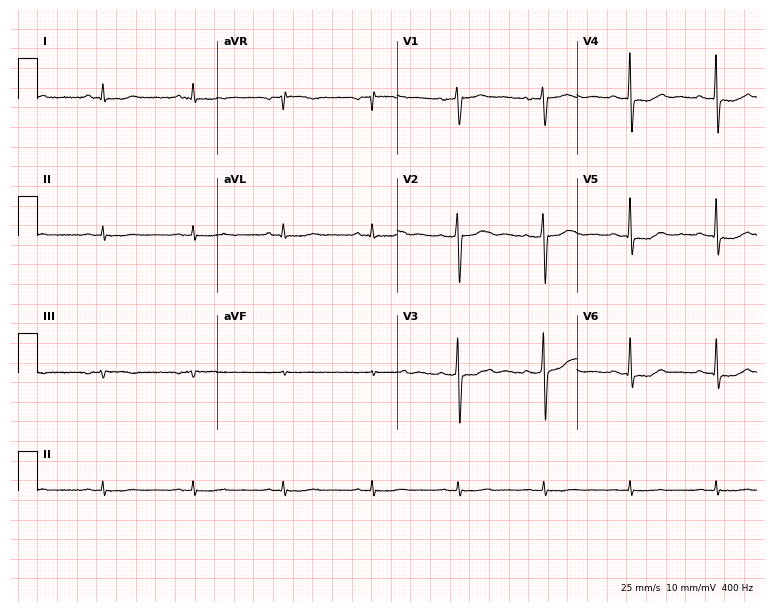
Electrocardiogram, a female, 66 years old. Of the six screened findings (first-degree AV block, right bundle branch block, left bundle branch block, sinus bradycardia, atrial fibrillation, sinus tachycardia), none is recorded.